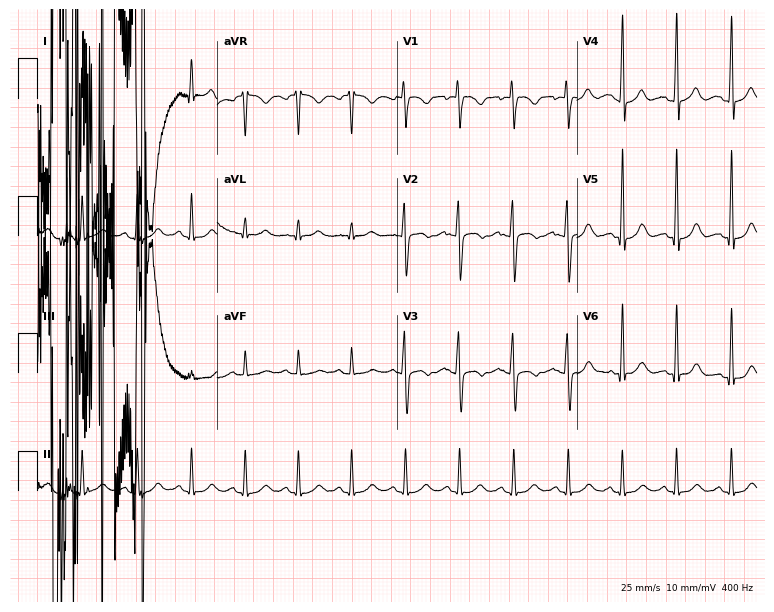
Resting 12-lead electrocardiogram (7.3-second recording at 400 Hz). Patient: a female, 33 years old. None of these six findings is recorded: first-degree AV block, right bundle branch block (RBBB), left bundle branch block (LBBB), sinus bradycardia, atrial fibrillation (AF), sinus tachycardia. Only these six findings were labelled.